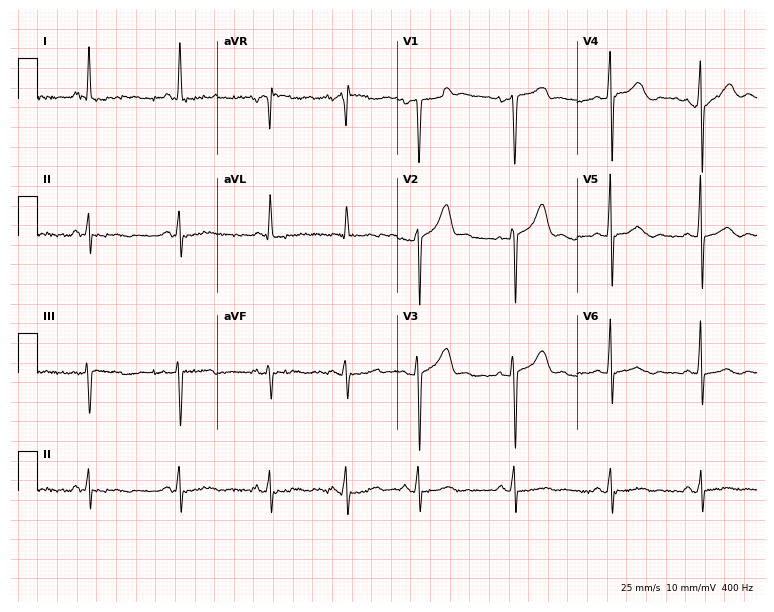
12-lead ECG (7.3-second recording at 400 Hz) from a 41-year-old woman. Screened for six findings — first-degree AV block, right bundle branch block, left bundle branch block, sinus bradycardia, atrial fibrillation, sinus tachycardia — none is recorded. Other findings, if any, are not listed.